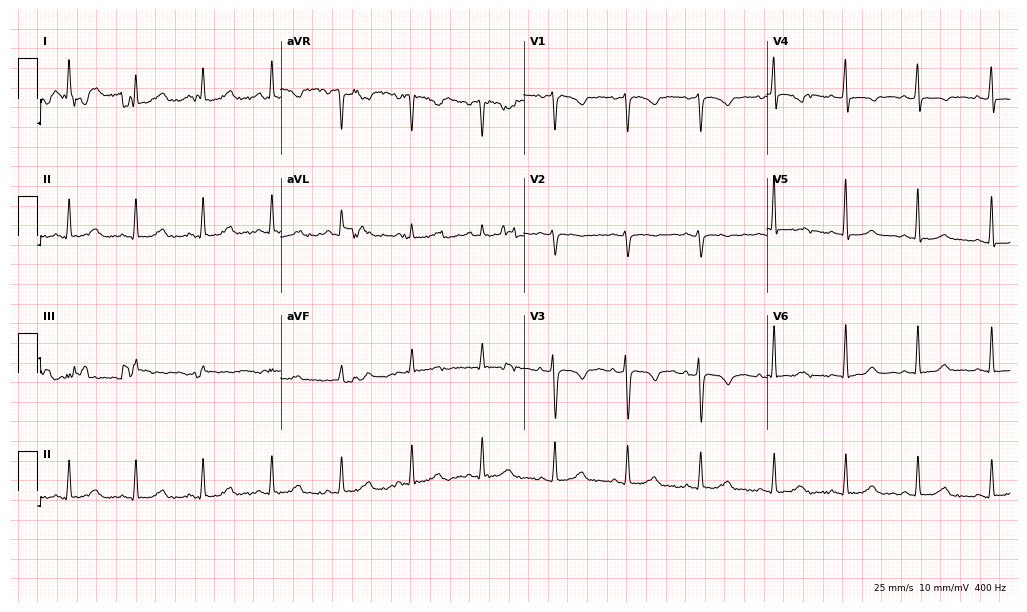
Resting 12-lead electrocardiogram. Patient: a female, 40 years old. None of these six findings is recorded: first-degree AV block, right bundle branch block (RBBB), left bundle branch block (LBBB), sinus bradycardia, atrial fibrillation (AF), sinus tachycardia. Other findings, if any, are not listed.